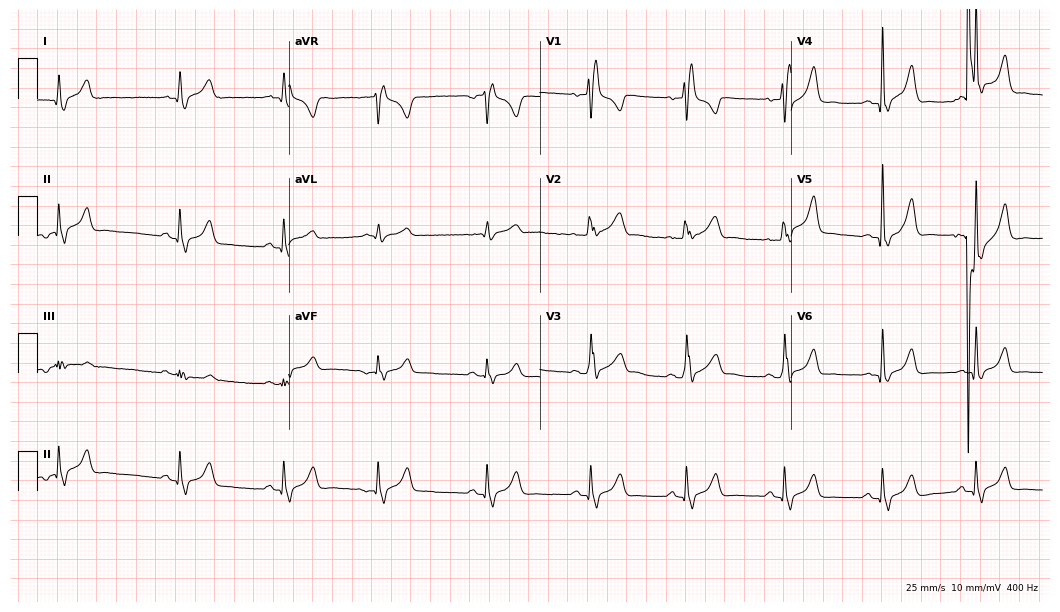
12-lead ECG from a 46-year-old man. Findings include right bundle branch block.